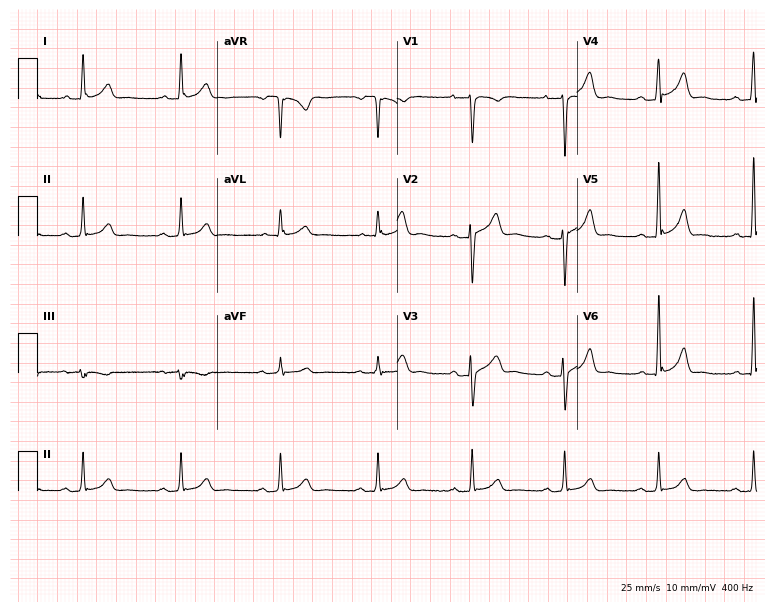
Electrocardiogram, a male patient, 28 years old. Overall reading on record: normal ECG.